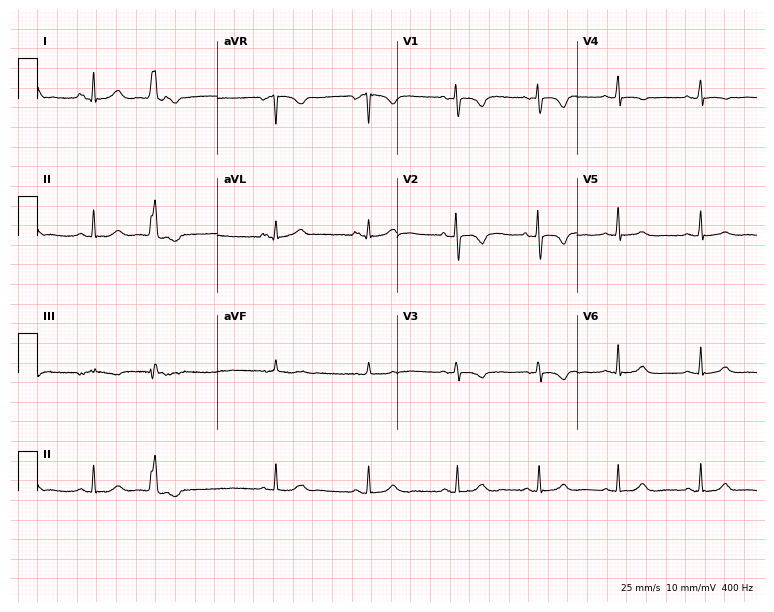
12-lead ECG from a female, 26 years old. Recorded interpretation: within normal limits.